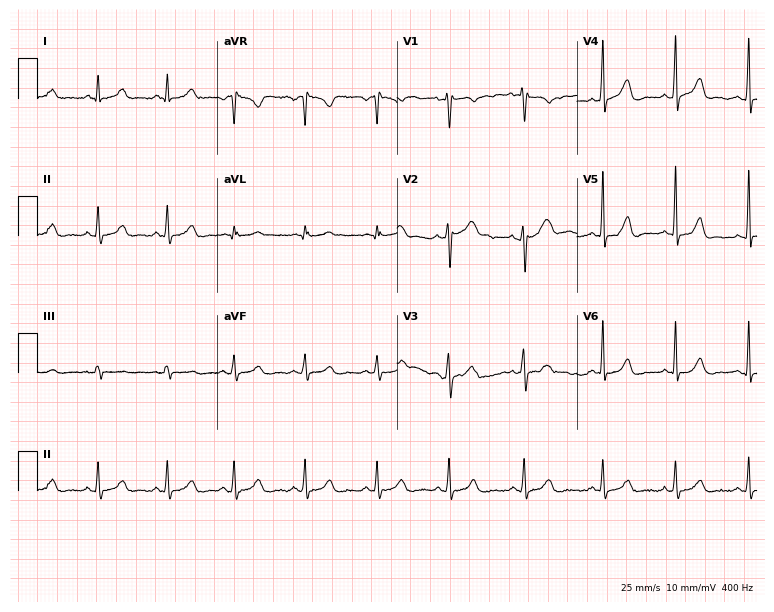
ECG (7.3-second recording at 400 Hz) — a woman, 41 years old. Labelled as a normal ECG.